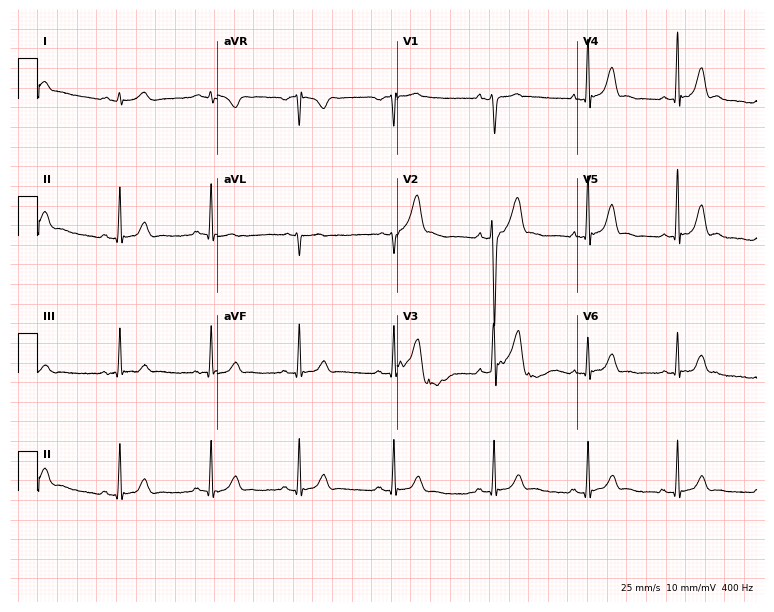
12-lead ECG from a male patient, 27 years old. Screened for six findings — first-degree AV block, right bundle branch block, left bundle branch block, sinus bradycardia, atrial fibrillation, sinus tachycardia — none is recorded. Findings outside these six are not listed.